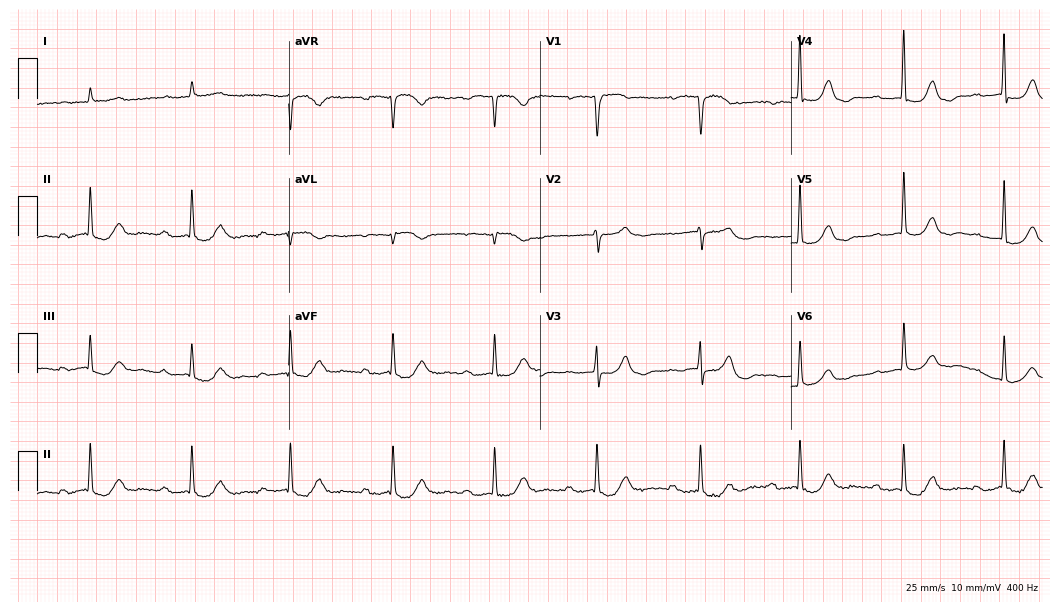
ECG — a male, 82 years old. Findings include first-degree AV block.